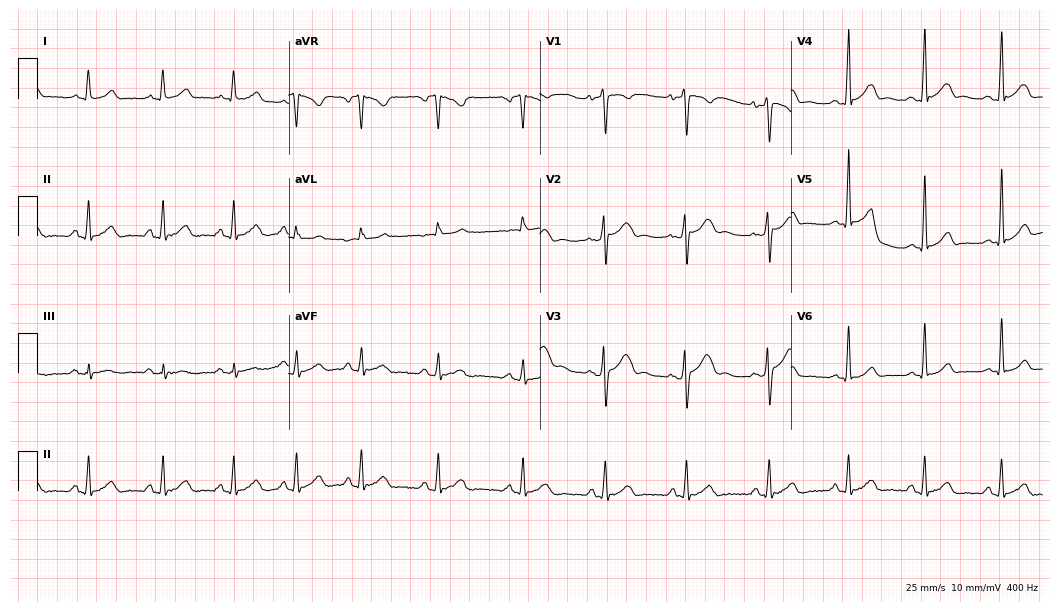
12-lead ECG from a 30-year-old male patient. Recorded interpretation: within normal limits.